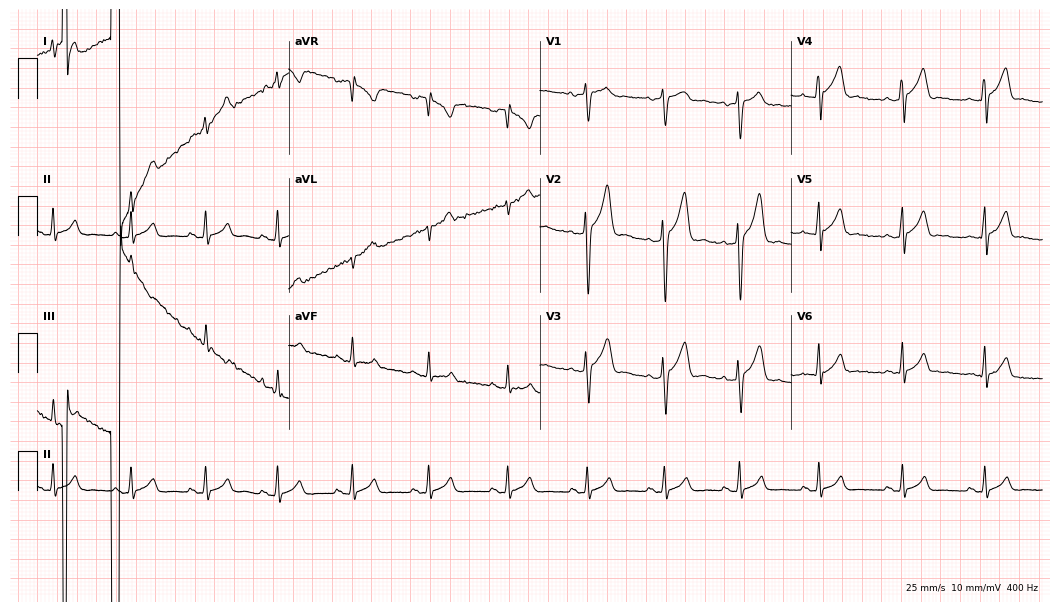
Standard 12-lead ECG recorded from a 24-year-old man. None of these six findings is recorded: first-degree AV block, right bundle branch block, left bundle branch block, sinus bradycardia, atrial fibrillation, sinus tachycardia.